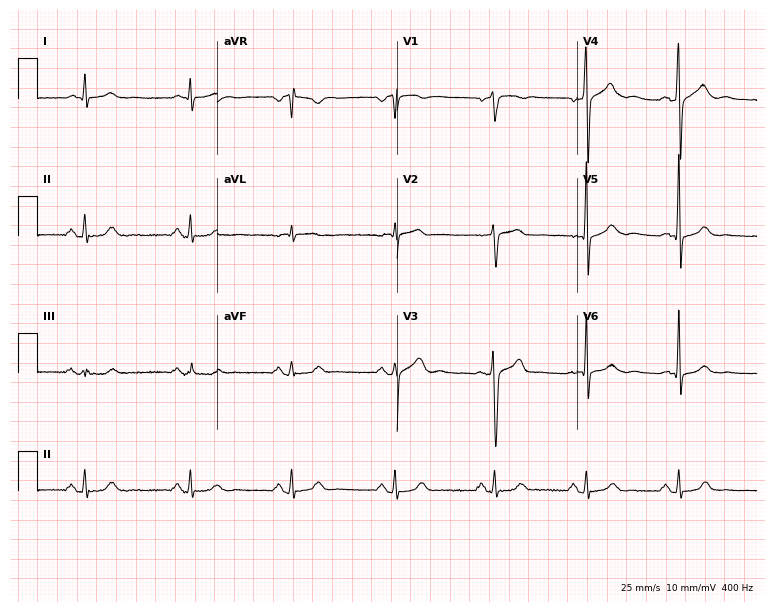
Resting 12-lead electrocardiogram (7.3-second recording at 400 Hz). Patient: a man, 63 years old. Read as a normal ECG.